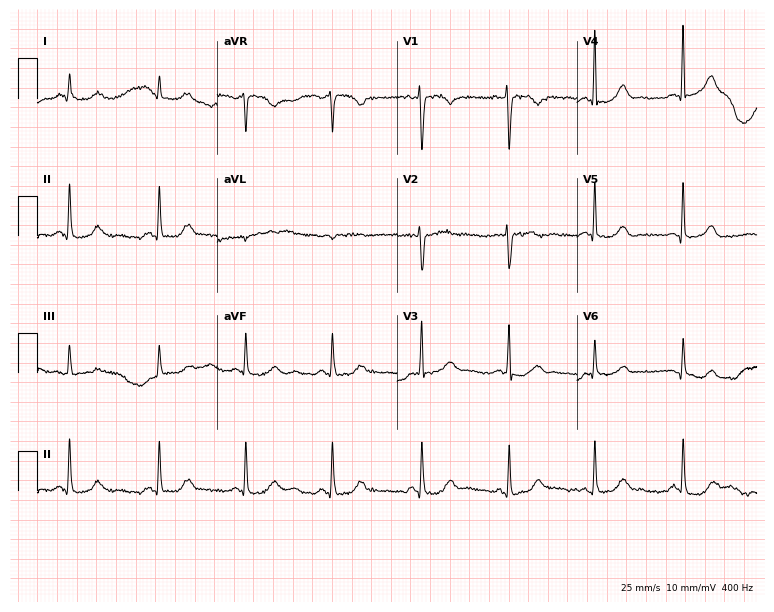
12-lead ECG (7.3-second recording at 400 Hz) from a woman, 42 years old. Screened for six findings — first-degree AV block, right bundle branch block, left bundle branch block, sinus bradycardia, atrial fibrillation, sinus tachycardia — none is recorded.